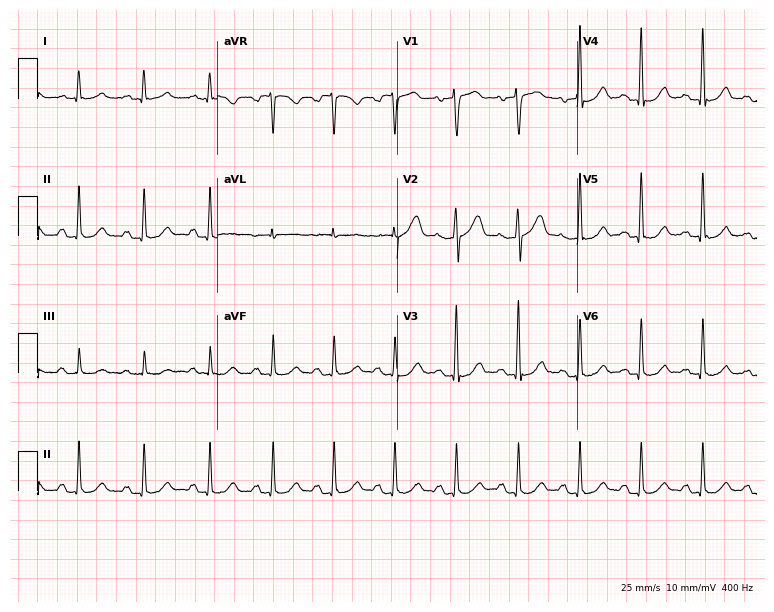
12-lead ECG from a 35-year-old male. Labelled as a normal ECG.